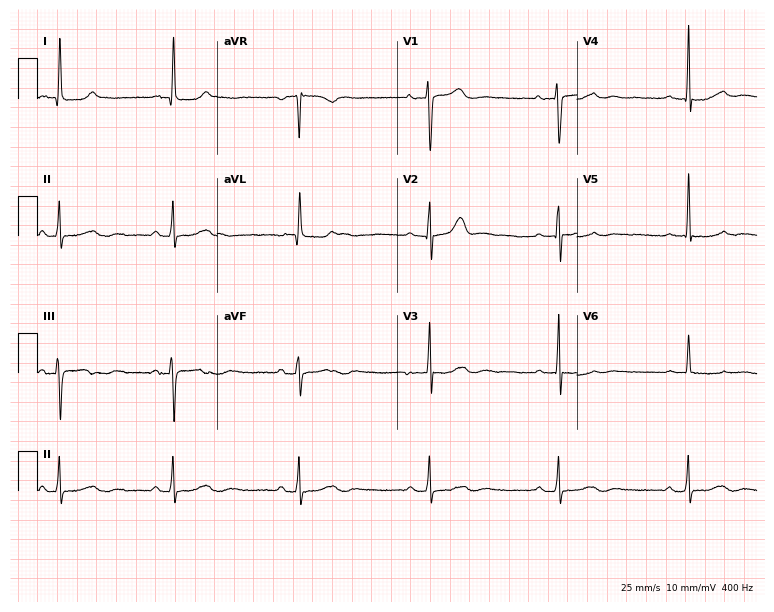
12-lead ECG from a woman, 63 years old. Screened for six findings — first-degree AV block, right bundle branch block (RBBB), left bundle branch block (LBBB), sinus bradycardia, atrial fibrillation (AF), sinus tachycardia — none is recorded.